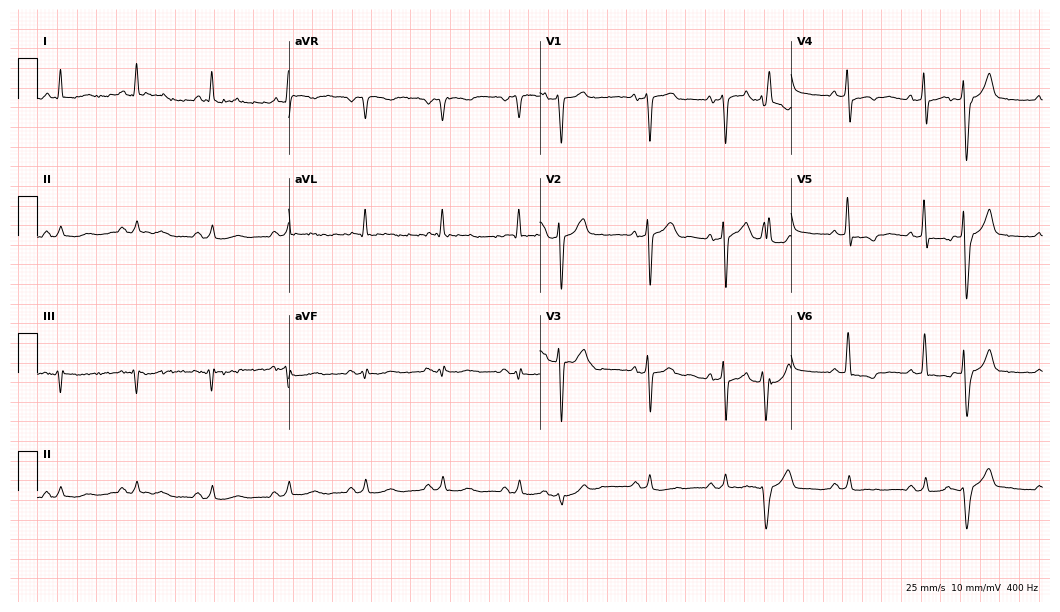
12-lead ECG from a 68-year-old male. Screened for six findings — first-degree AV block, right bundle branch block, left bundle branch block, sinus bradycardia, atrial fibrillation, sinus tachycardia — none is recorded. Other findings, if any, are not listed.